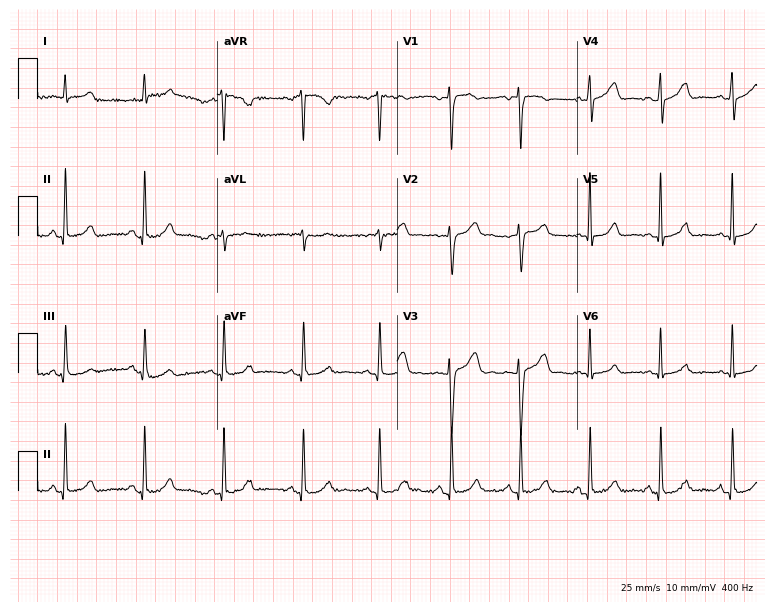
Electrocardiogram, a 52-year-old female patient. Overall reading on record: normal ECG.